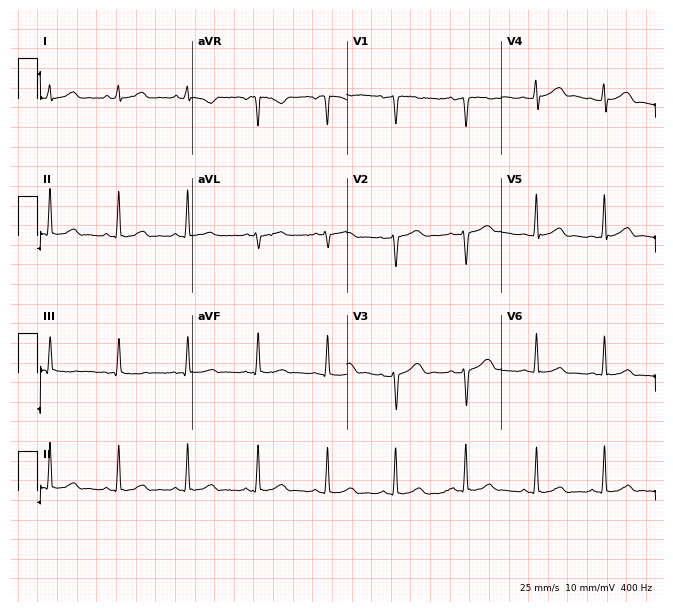
12-lead ECG from a 22-year-old female. Screened for six findings — first-degree AV block, right bundle branch block (RBBB), left bundle branch block (LBBB), sinus bradycardia, atrial fibrillation (AF), sinus tachycardia — none is recorded. Other findings, if any, are not listed.